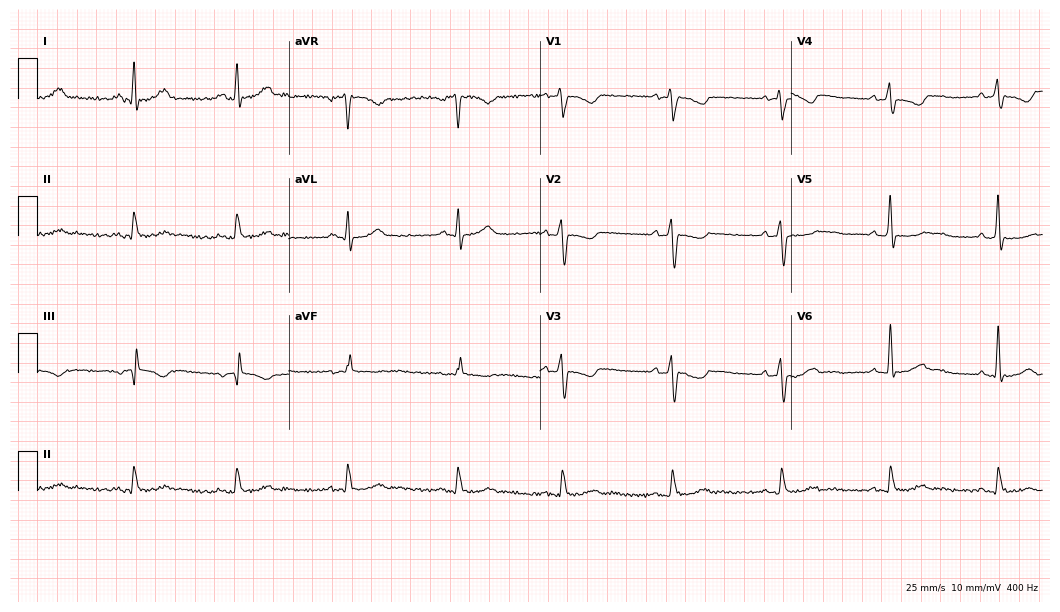
12-lead ECG (10.2-second recording at 400 Hz) from a 34-year-old male. Screened for six findings — first-degree AV block, right bundle branch block, left bundle branch block, sinus bradycardia, atrial fibrillation, sinus tachycardia — none is recorded. Other findings, if any, are not listed.